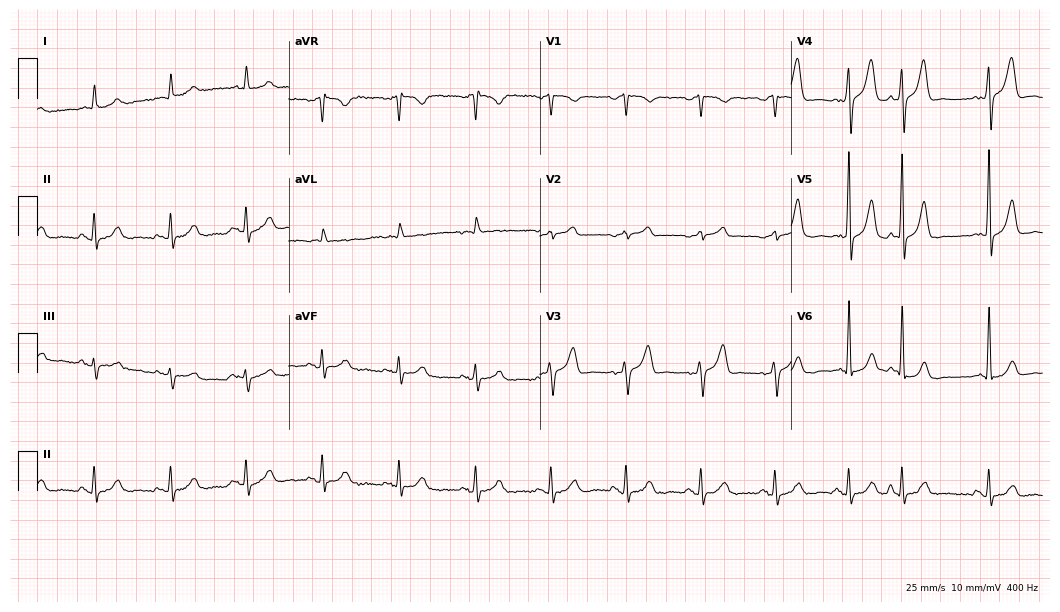
Standard 12-lead ECG recorded from a male patient, 78 years old (10.2-second recording at 400 Hz). None of these six findings is recorded: first-degree AV block, right bundle branch block, left bundle branch block, sinus bradycardia, atrial fibrillation, sinus tachycardia.